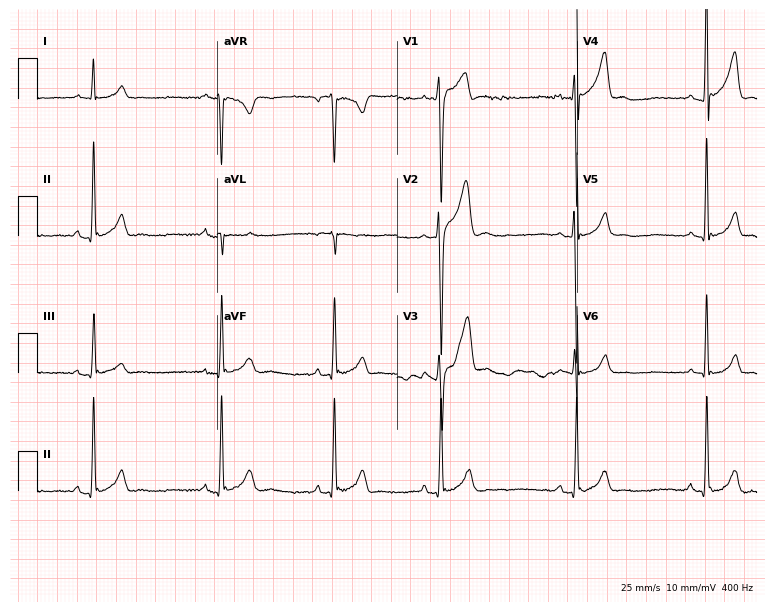
ECG (7.3-second recording at 400 Hz) — a male patient, 21 years old. Findings include sinus bradycardia (a sinus rate of 50 beats per minute or less).